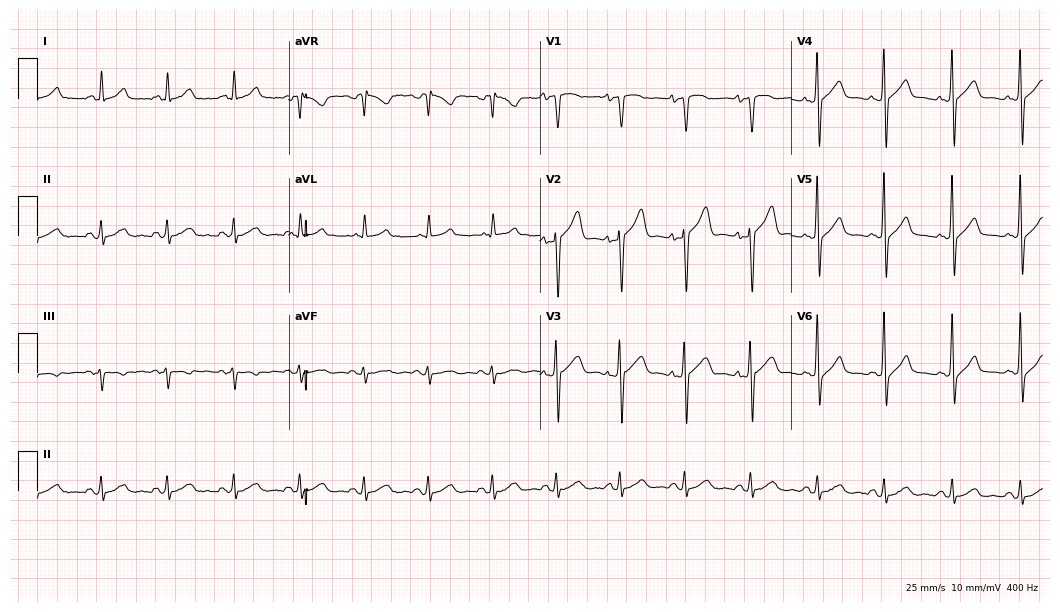
Resting 12-lead electrocardiogram (10.2-second recording at 400 Hz). Patient: a male, 42 years old. Read as a normal ECG.